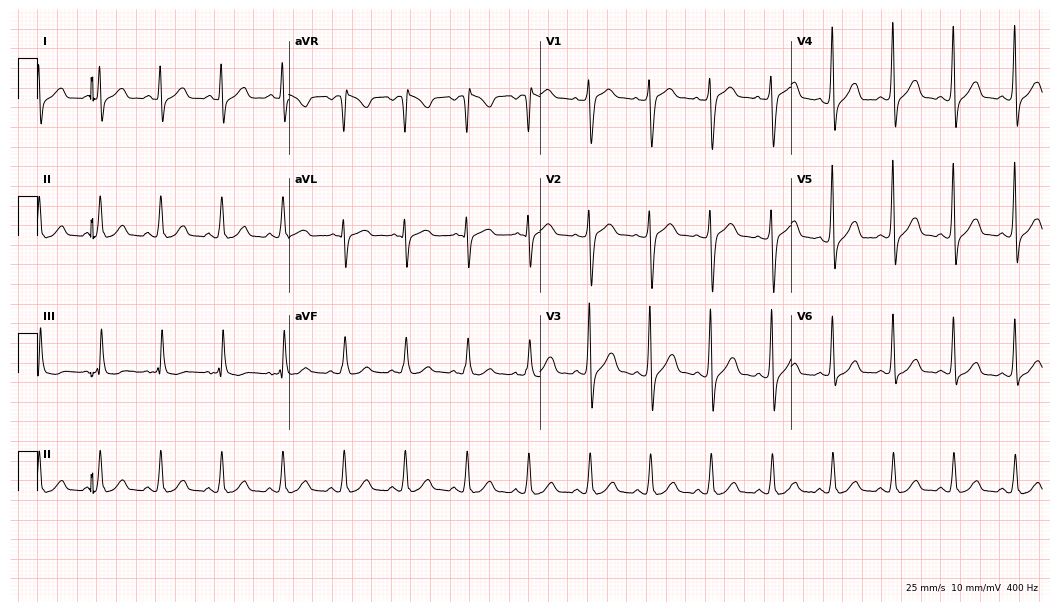
Standard 12-lead ECG recorded from a 41-year-old man (10.2-second recording at 400 Hz). None of these six findings is recorded: first-degree AV block, right bundle branch block, left bundle branch block, sinus bradycardia, atrial fibrillation, sinus tachycardia. Findings outside these six are not listed.